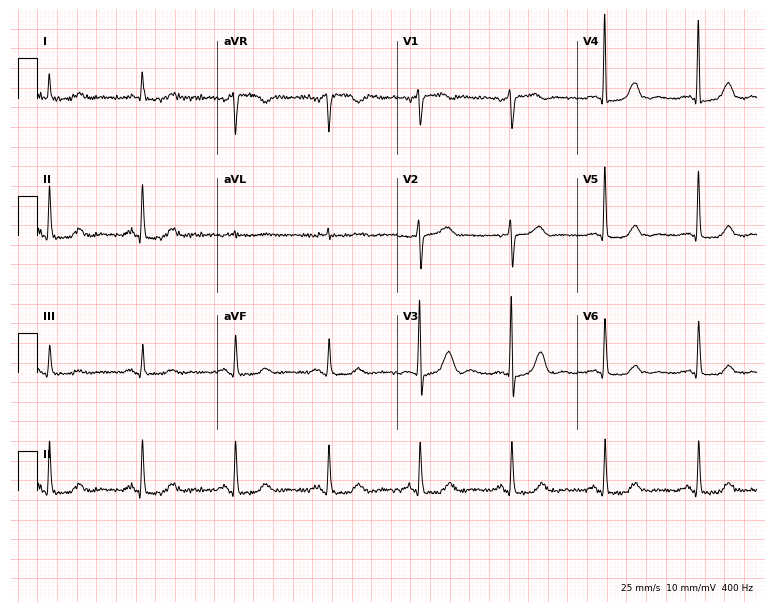
Resting 12-lead electrocardiogram (7.3-second recording at 400 Hz). Patient: an 82-year-old female. None of these six findings is recorded: first-degree AV block, right bundle branch block, left bundle branch block, sinus bradycardia, atrial fibrillation, sinus tachycardia. Other findings, if any, are not listed.